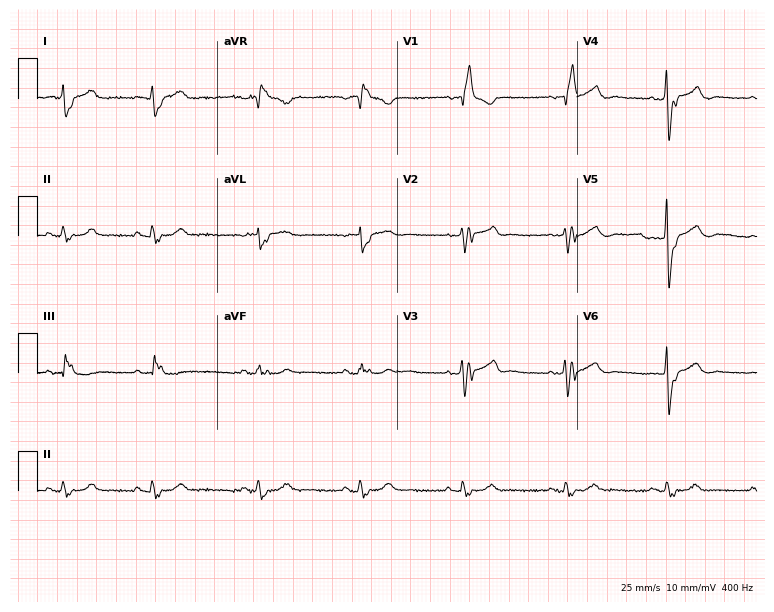
Standard 12-lead ECG recorded from a man, 73 years old. The tracing shows right bundle branch block.